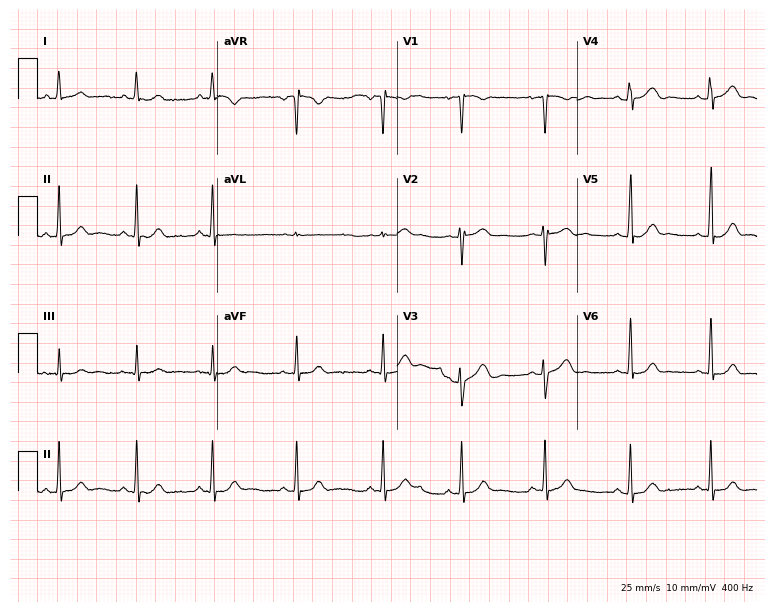
Standard 12-lead ECG recorded from a woman, 17 years old. None of these six findings is recorded: first-degree AV block, right bundle branch block, left bundle branch block, sinus bradycardia, atrial fibrillation, sinus tachycardia.